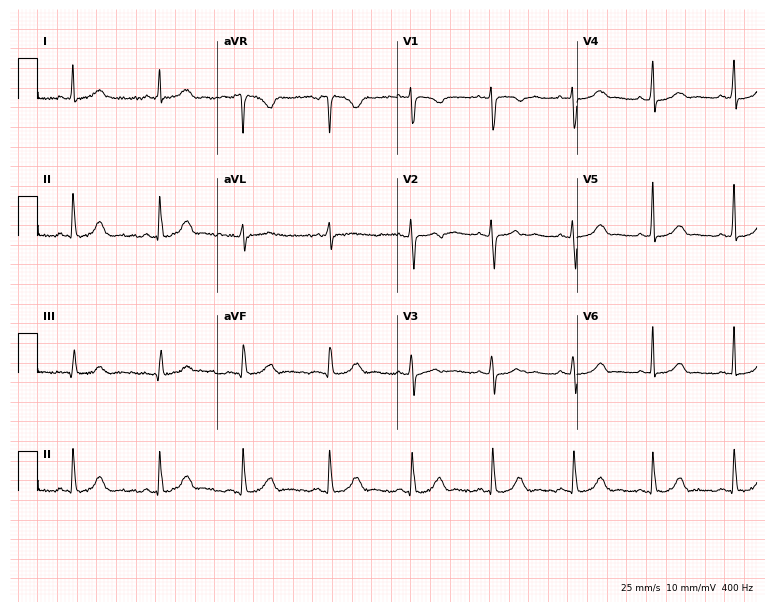
12-lead ECG from a 44-year-old female. Screened for six findings — first-degree AV block, right bundle branch block (RBBB), left bundle branch block (LBBB), sinus bradycardia, atrial fibrillation (AF), sinus tachycardia — none is recorded.